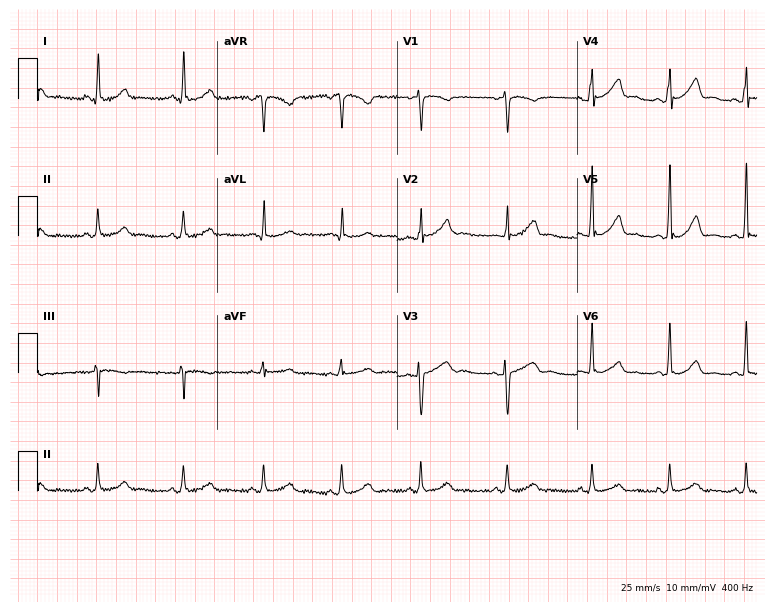
12-lead ECG (7.3-second recording at 400 Hz) from a 38-year-old female. Labelled as a normal ECG.